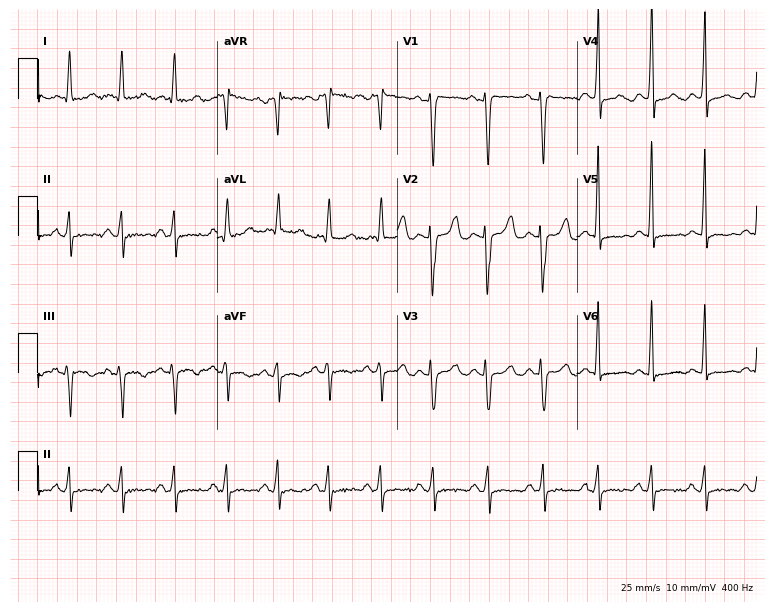
12-lead ECG from a female, 31 years old. Findings include sinus tachycardia (a sinus rate of 100 beats per minute or more).